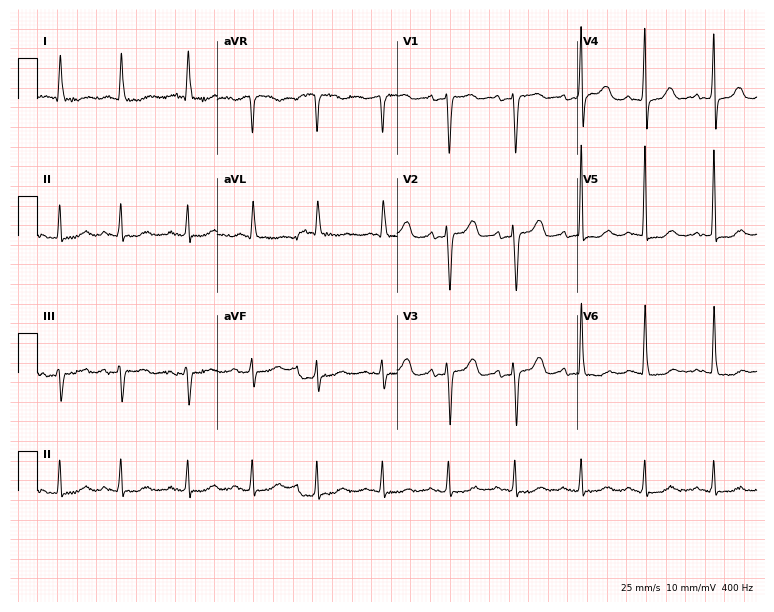
Standard 12-lead ECG recorded from a 68-year-old woman (7.3-second recording at 400 Hz). None of these six findings is recorded: first-degree AV block, right bundle branch block, left bundle branch block, sinus bradycardia, atrial fibrillation, sinus tachycardia. Only these six findings were labelled.